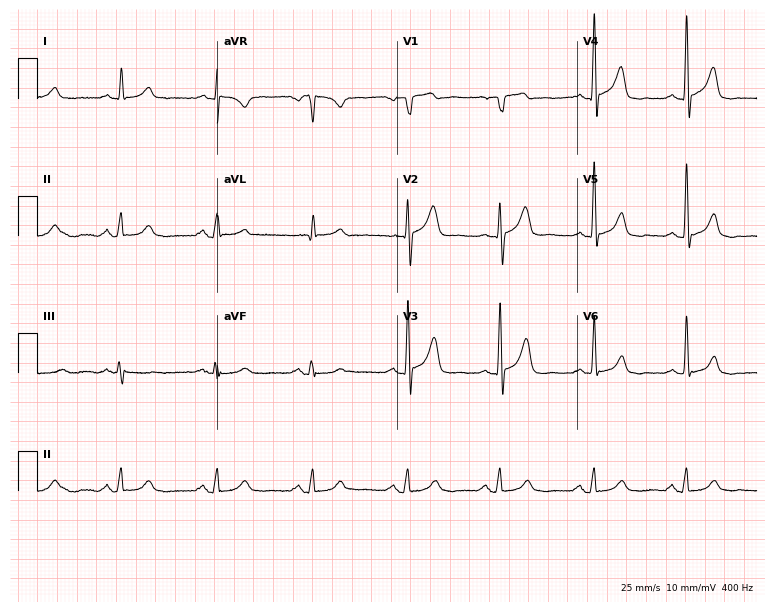
12-lead ECG from a 62-year-old man (7.3-second recording at 400 Hz). Recorded interpretation: within normal limits.